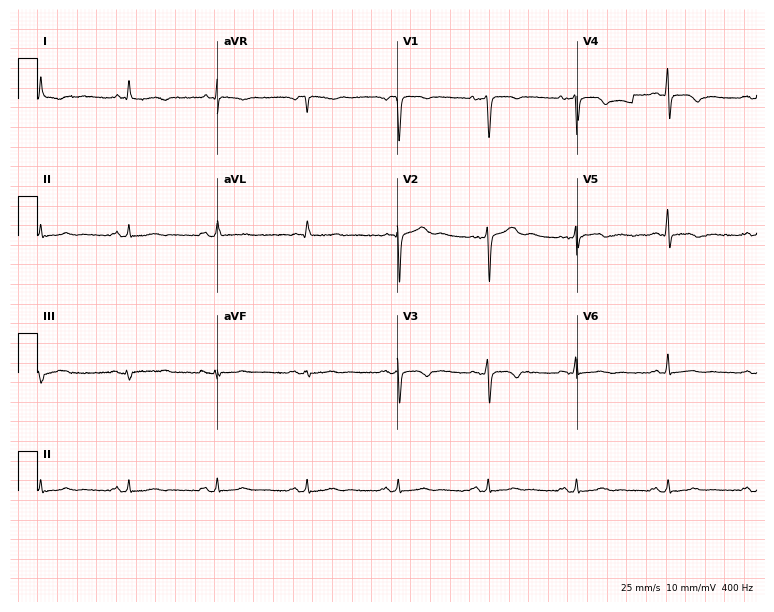
Electrocardiogram, a woman, 62 years old. Of the six screened findings (first-degree AV block, right bundle branch block, left bundle branch block, sinus bradycardia, atrial fibrillation, sinus tachycardia), none is recorded.